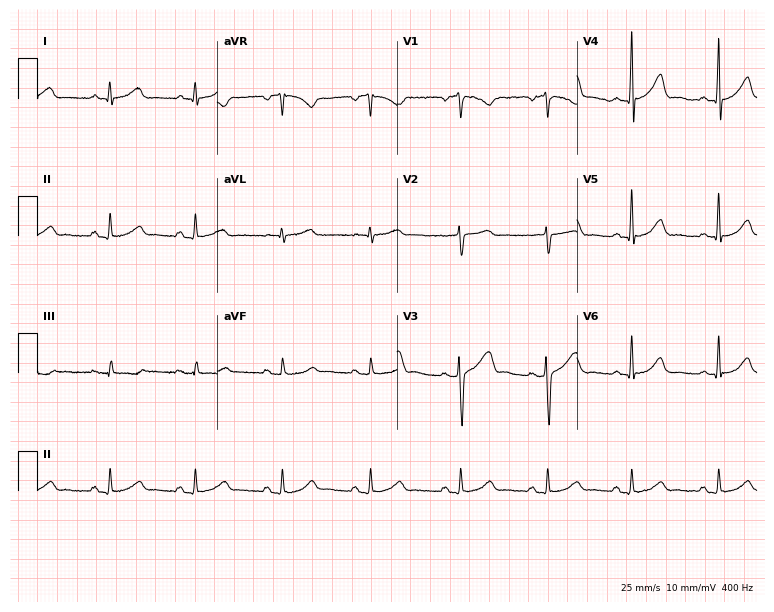
ECG — a 40-year-old female patient. Labelled as a normal ECG.